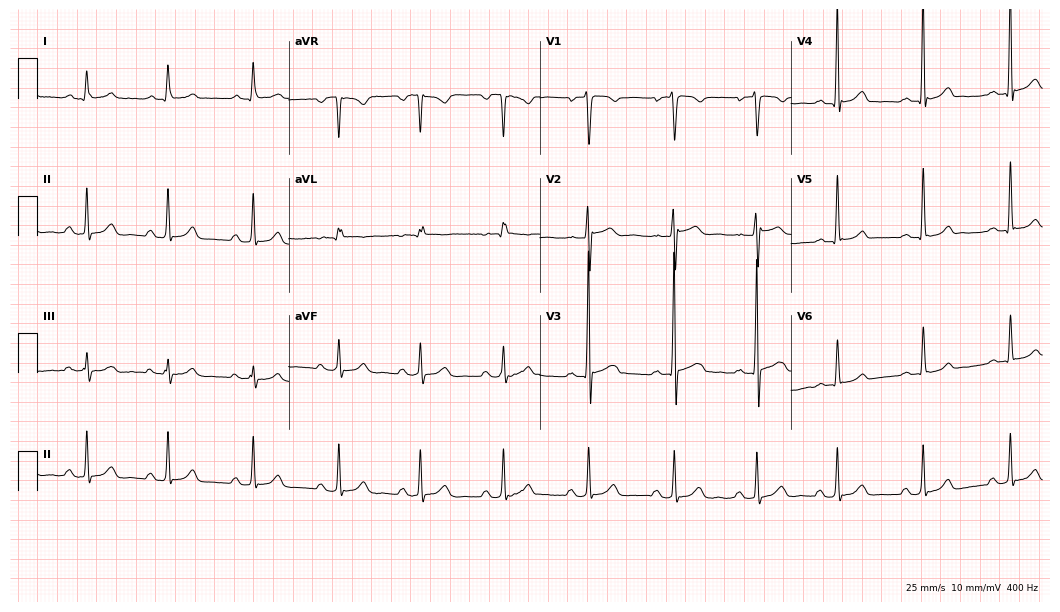
12-lead ECG from a male patient, 22 years old. No first-degree AV block, right bundle branch block, left bundle branch block, sinus bradycardia, atrial fibrillation or sinus tachycardia recorded for this tracing. Only these six findings were labelled.